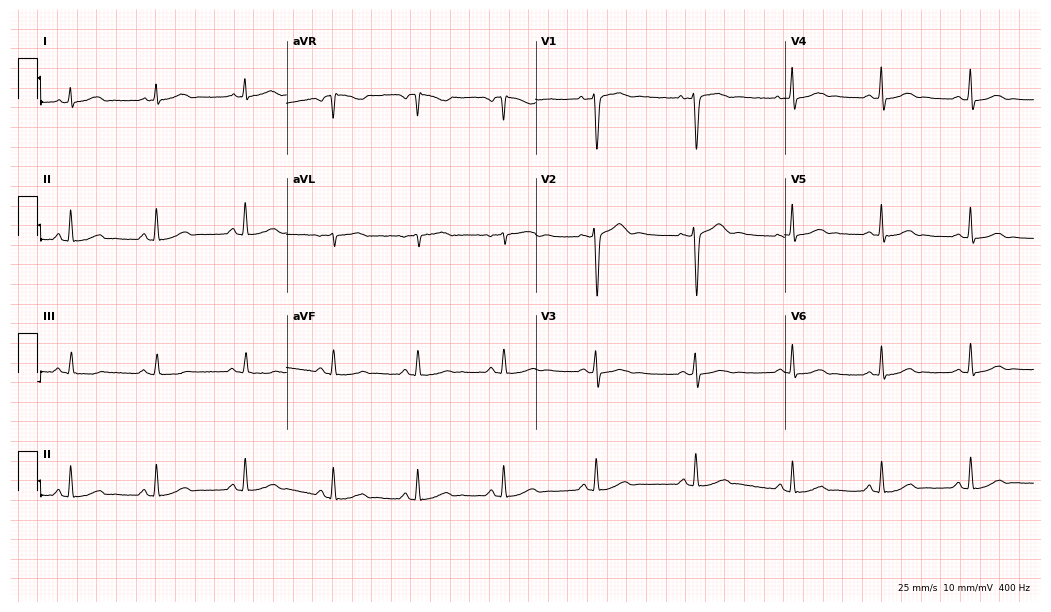
Standard 12-lead ECG recorded from a female patient, 24 years old. Read as a normal ECG.